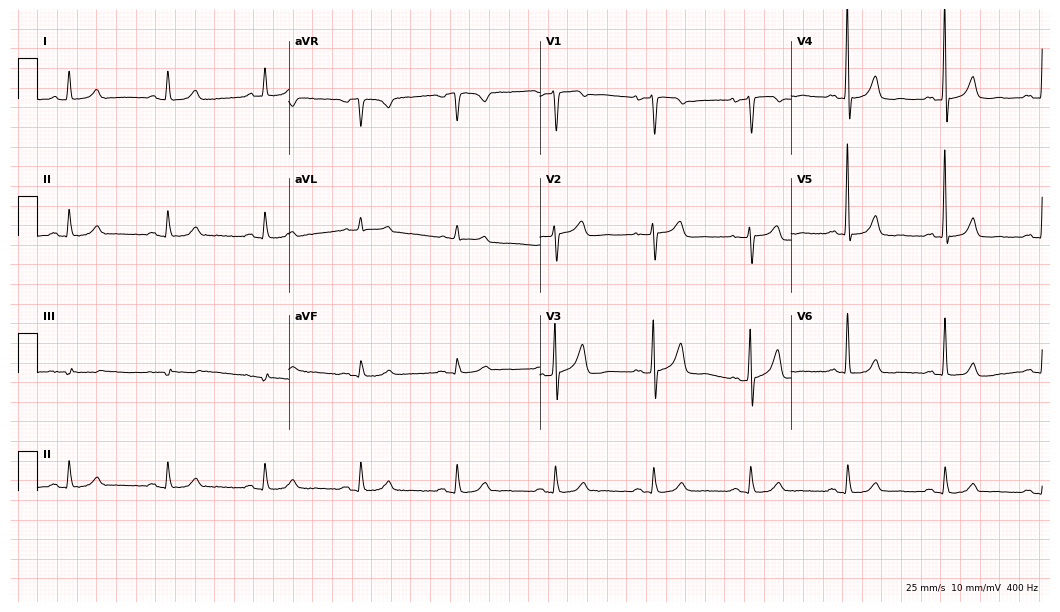
12-lead ECG (10.2-second recording at 400 Hz) from a female patient, 79 years old. Labelled as a normal ECG.